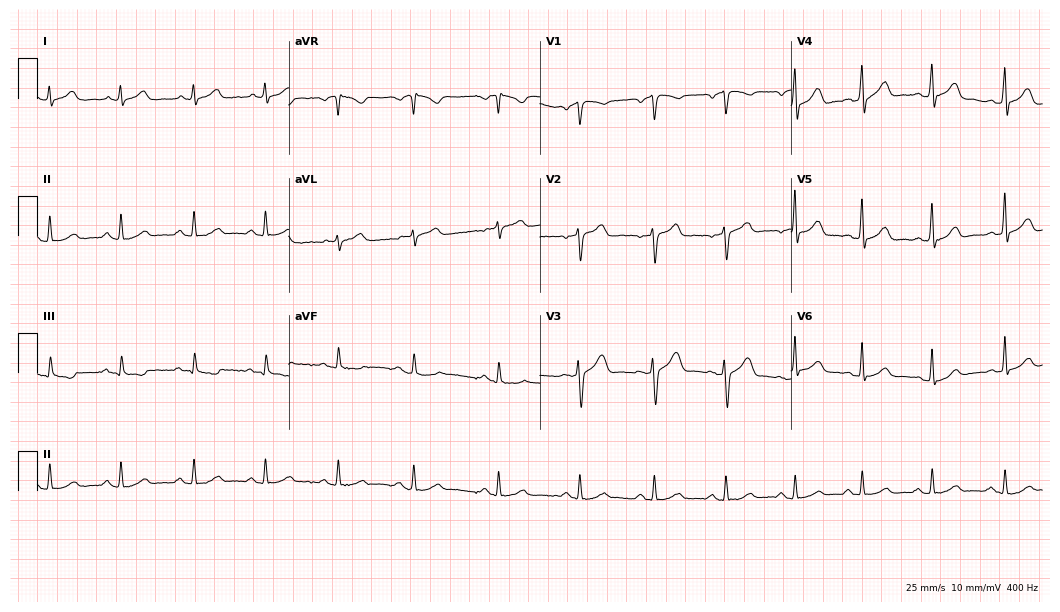
ECG (10.2-second recording at 400 Hz) — a 57-year-old male patient. Labelled as a normal ECG.